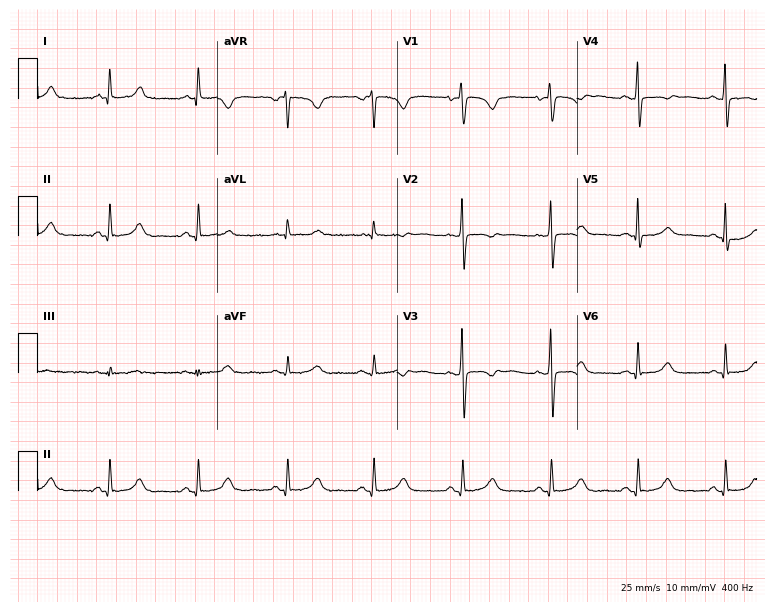
Electrocardiogram, a 48-year-old female. Overall reading on record: normal ECG.